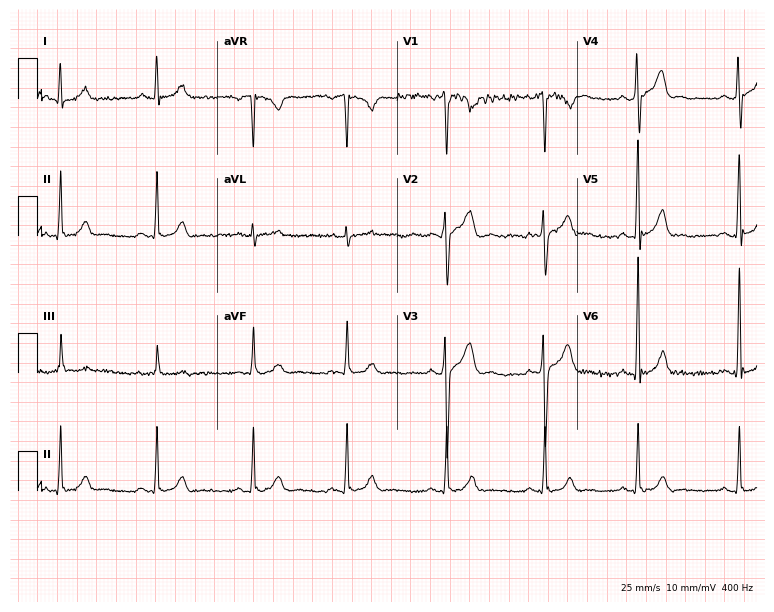
12-lead ECG from a male patient, 24 years old. Recorded interpretation: within normal limits.